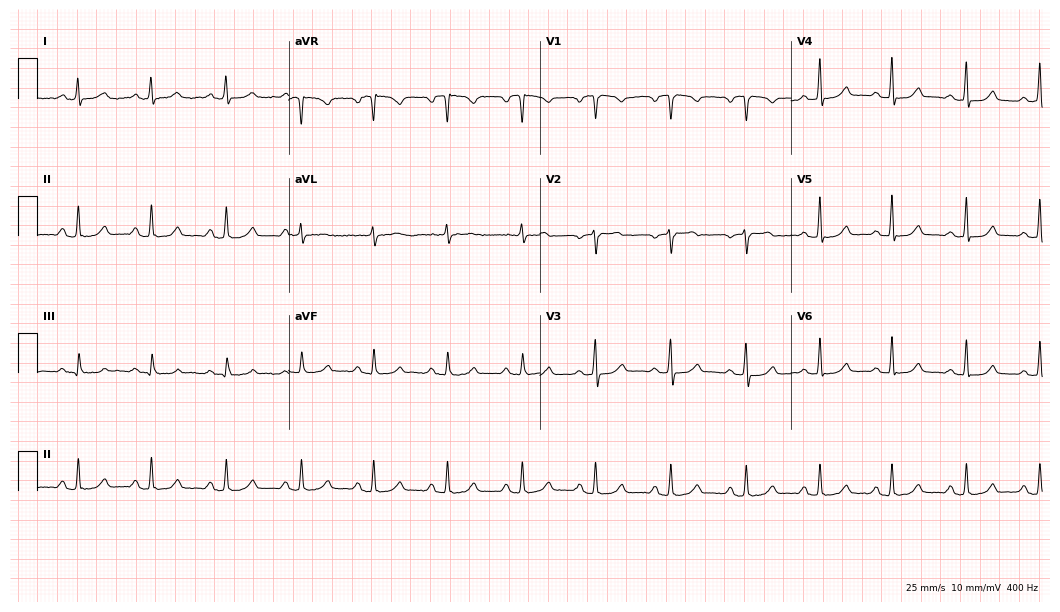
Standard 12-lead ECG recorded from a female patient, 47 years old (10.2-second recording at 400 Hz). None of these six findings is recorded: first-degree AV block, right bundle branch block (RBBB), left bundle branch block (LBBB), sinus bradycardia, atrial fibrillation (AF), sinus tachycardia.